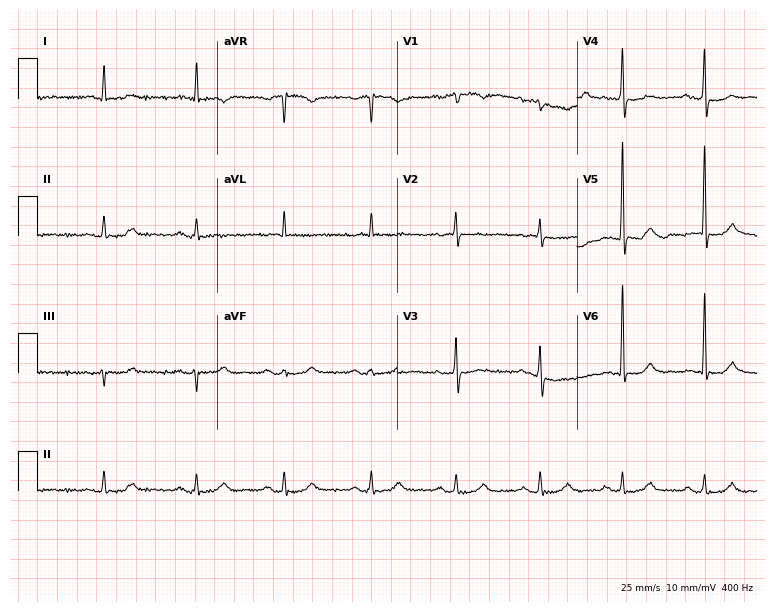
Electrocardiogram (7.3-second recording at 400 Hz), a woman, 77 years old. Of the six screened findings (first-degree AV block, right bundle branch block (RBBB), left bundle branch block (LBBB), sinus bradycardia, atrial fibrillation (AF), sinus tachycardia), none is recorded.